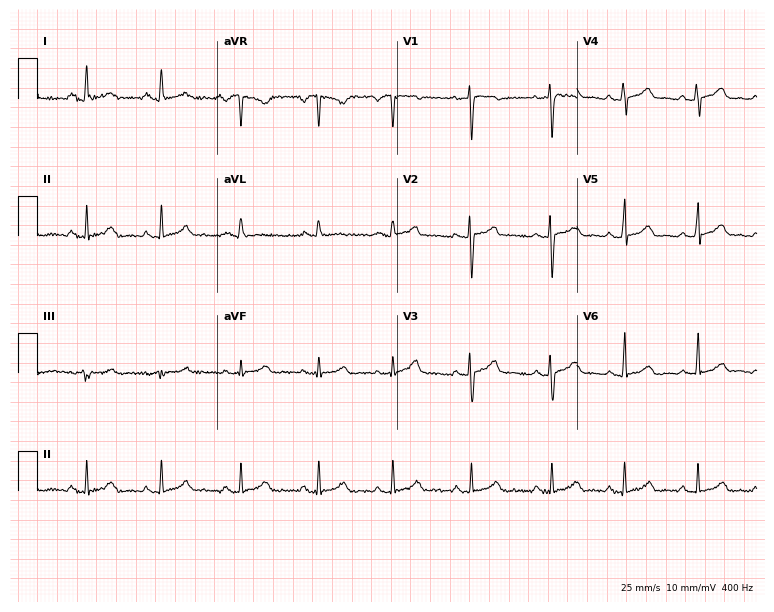
ECG (7.3-second recording at 400 Hz) — a woman, 32 years old. Labelled as a normal ECG.